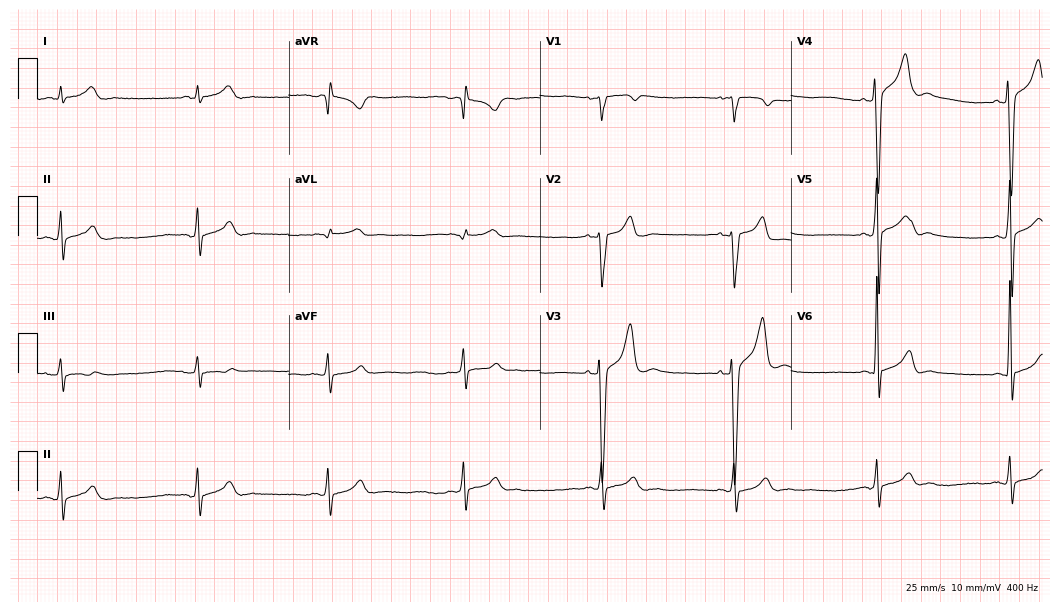
ECG — a man, 37 years old. Findings include sinus bradycardia (a sinus rate of 50 beats per minute or less).